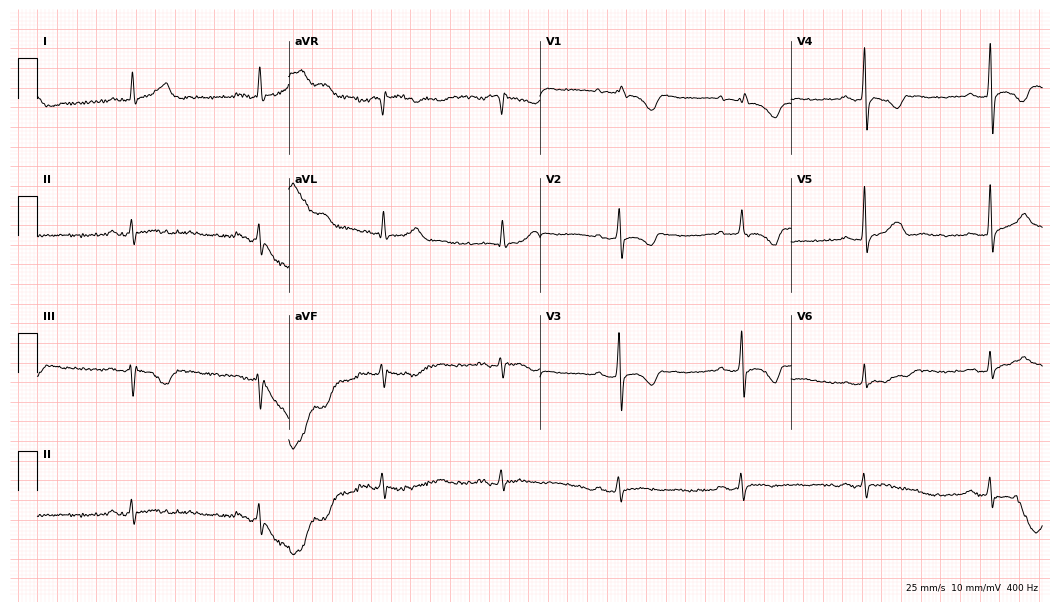
Electrocardiogram, a man, 82 years old. Interpretation includes sinus bradycardia (a sinus rate of 50 beats per minute or less).